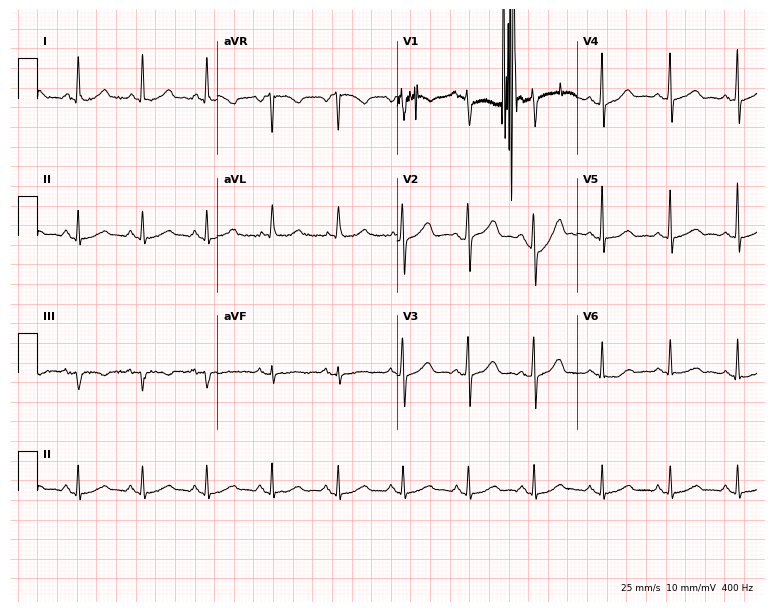
Standard 12-lead ECG recorded from a 65-year-old female patient. None of these six findings is recorded: first-degree AV block, right bundle branch block, left bundle branch block, sinus bradycardia, atrial fibrillation, sinus tachycardia.